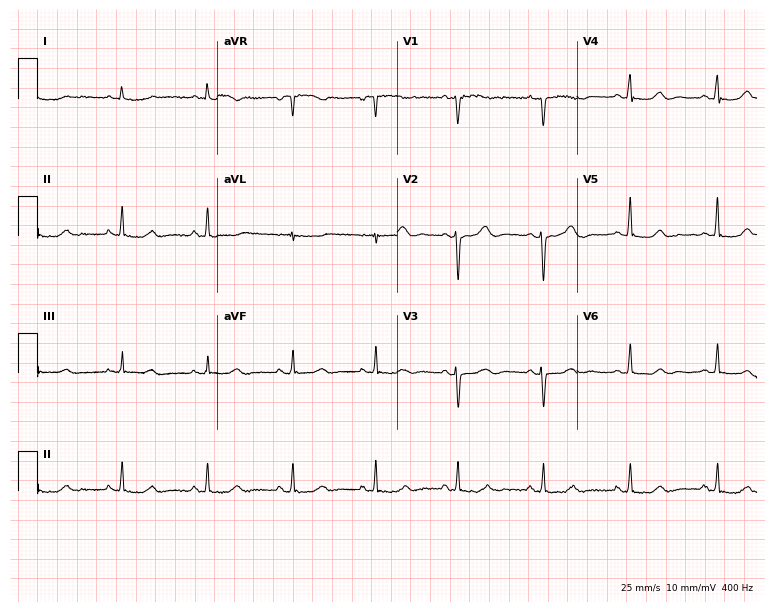
12-lead ECG from a 51-year-old woman. No first-degree AV block, right bundle branch block, left bundle branch block, sinus bradycardia, atrial fibrillation or sinus tachycardia recorded for this tracing. Findings outside these six are not listed.